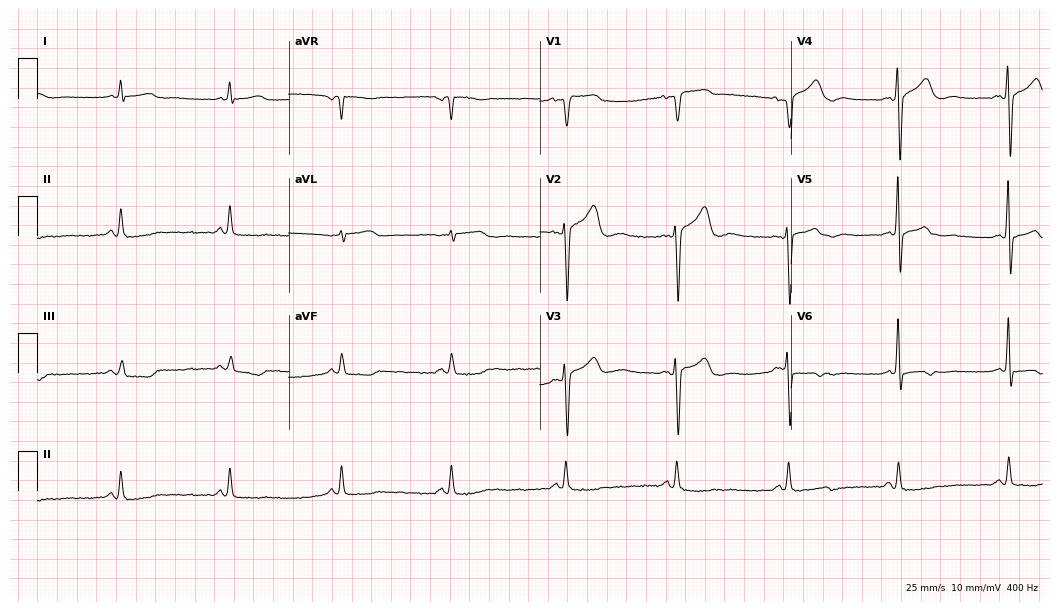
12-lead ECG from a 70-year-old man. No first-degree AV block, right bundle branch block (RBBB), left bundle branch block (LBBB), sinus bradycardia, atrial fibrillation (AF) or sinus tachycardia recorded for this tracing. Only these six findings were labelled.